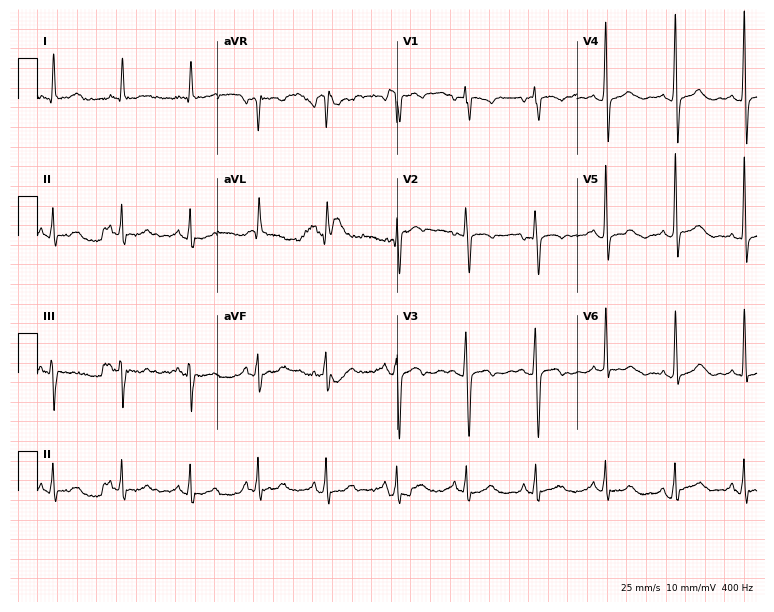
Resting 12-lead electrocardiogram. Patient: an 81-year-old female. None of these six findings is recorded: first-degree AV block, right bundle branch block (RBBB), left bundle branch block (LBBB), sinus bradycardia, atrial fibrillation (AF), sinus tachycardia. Findings outside these six are not listed.